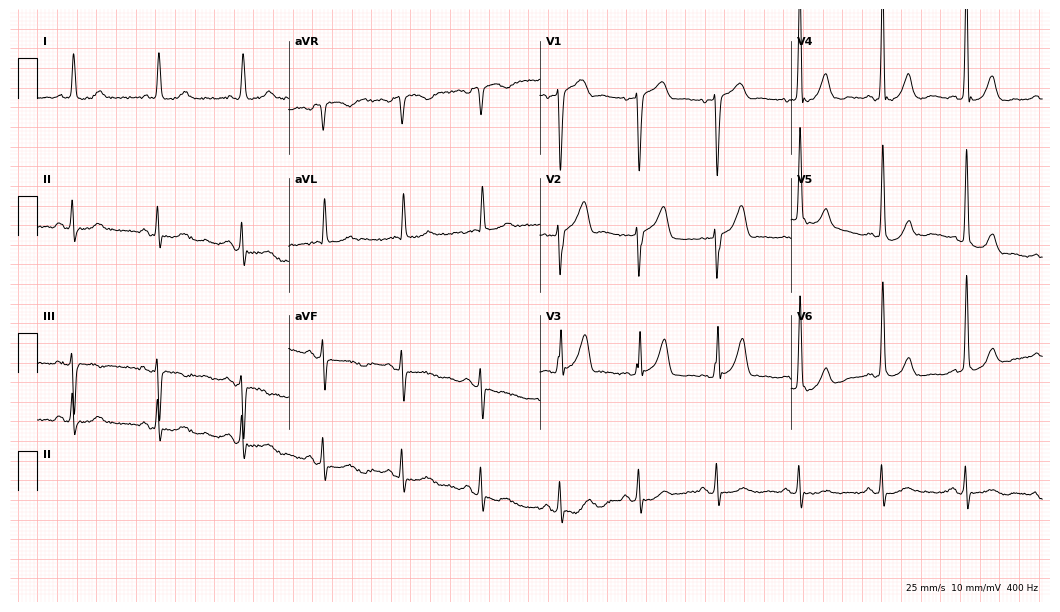
Electrocardiogram (10.2-second recording at 400 Hz), a man, 82 years old. Of the six screened findings (first-degree AV block, right bundle branch block (RBBB), left bundle branch block (LBBB), sinus bradycardia, atrial fibrillation (AF), sinus tachycardia), none is recorded. Only these six findings were labelled.